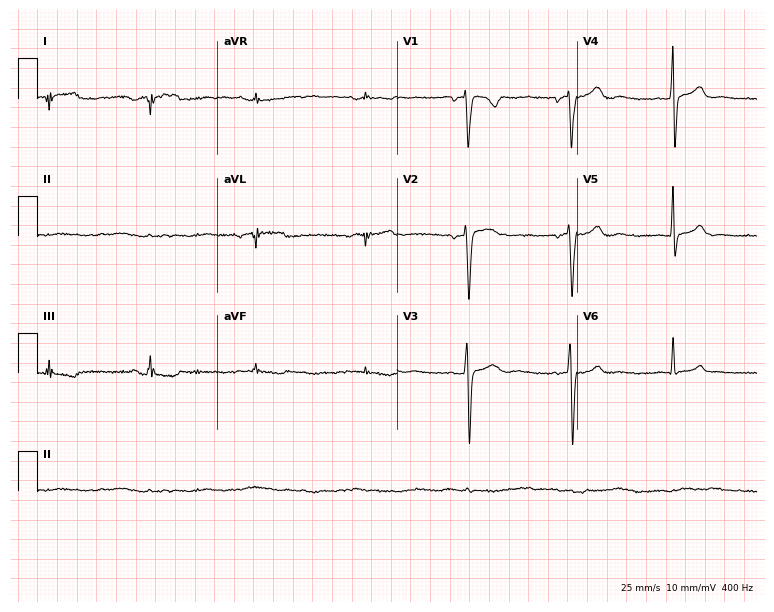
ECG — a 66-year-old female. Screened for six findings — first-degree AV block, right bundle branch block (RBBB), left bundle branch block (LBBB), sinus bradycardia, atrial fibrillation (AF), sinus tachycardia — none is recorded. Other findings, if any, are not listed.